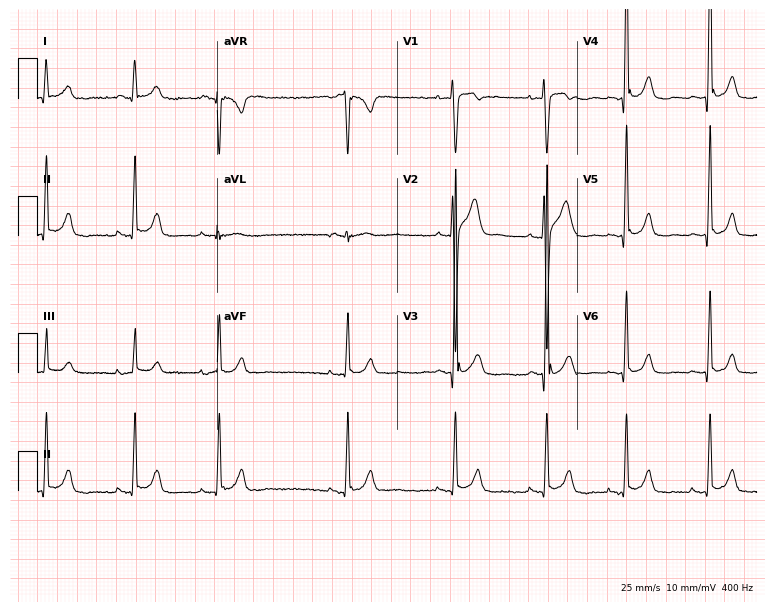
12-lead ECG from a 41-year-old male patient. Screened for six findings — first-degree AV block, right bundle branch block (RBBB), left bundle branch block (LBBB), sinus bradycardia, atrial fibrillation (AF), sinus tachycardia — none is recorded. Findings outside these six are not listed.